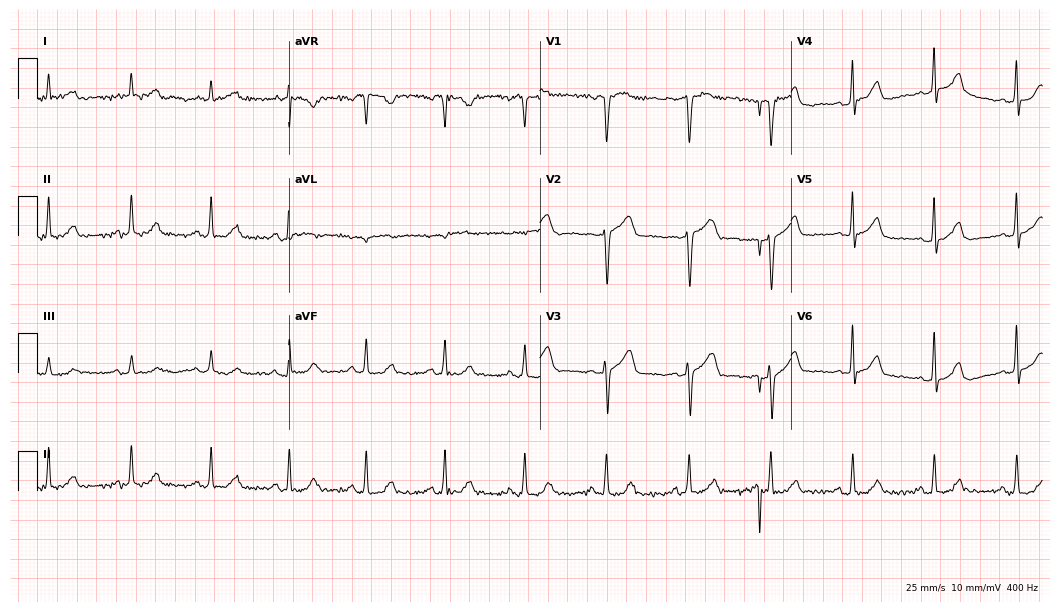
Resting 12-lead electrocardiogram (10.2-second recording at 400 Hz). Patient: a man, 65 years old. Read as a normal ECG.